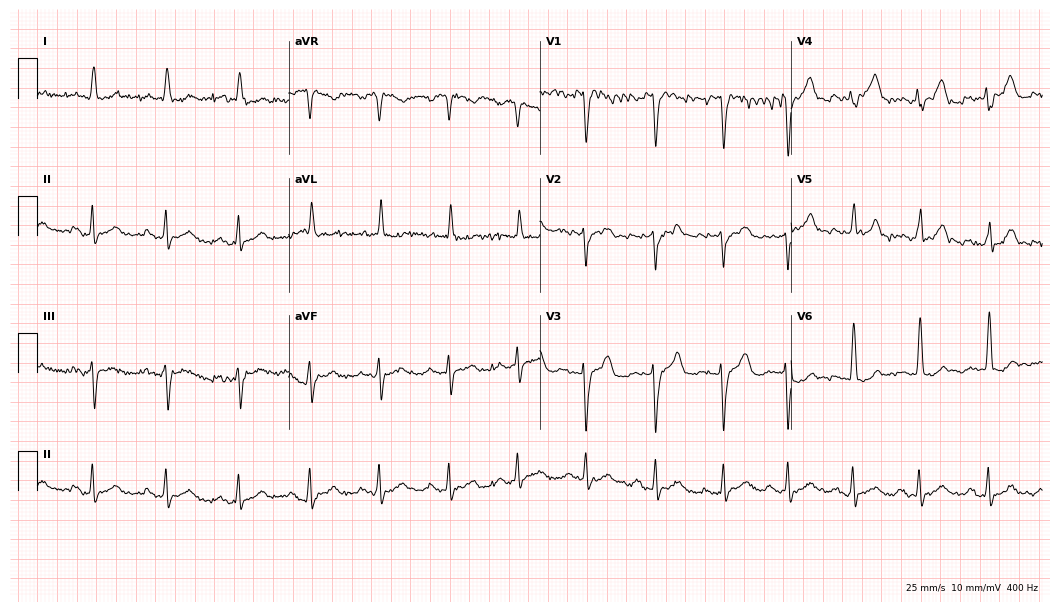
Resting 12-lead electrocardiogram (10.2-second recording at 400 Hz). Patient: a 74-year-old man. None of these six findings is recorded: first-degree AV block, right bundle branch block, left bundle branch block, sinus bradycardia, atrial fibrillation, sinus tachycardia.